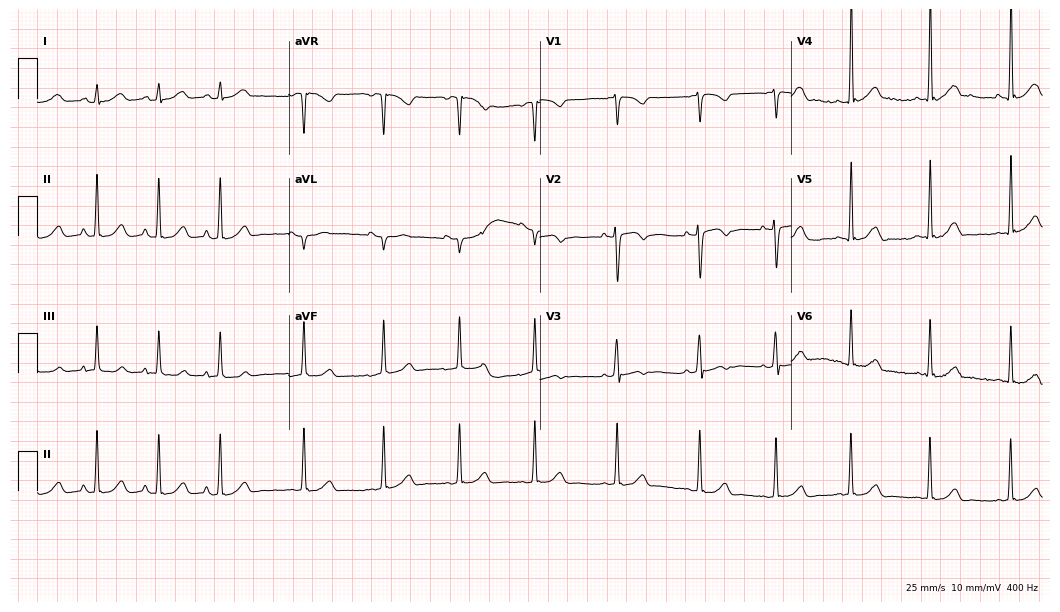
Standard 12-lead ECG recorded from a female patient, 18 years old. Read as a normal ECG.